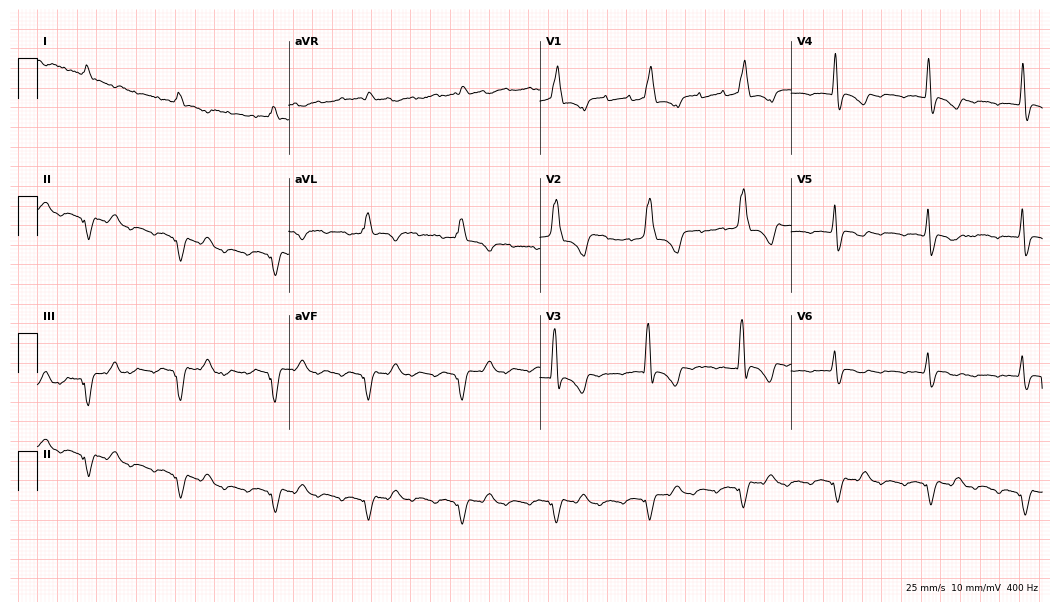
12-lead ECG (10.2-second recording at 400 Hz) from a 38-year-old woman. Findings include right bundle branch block.